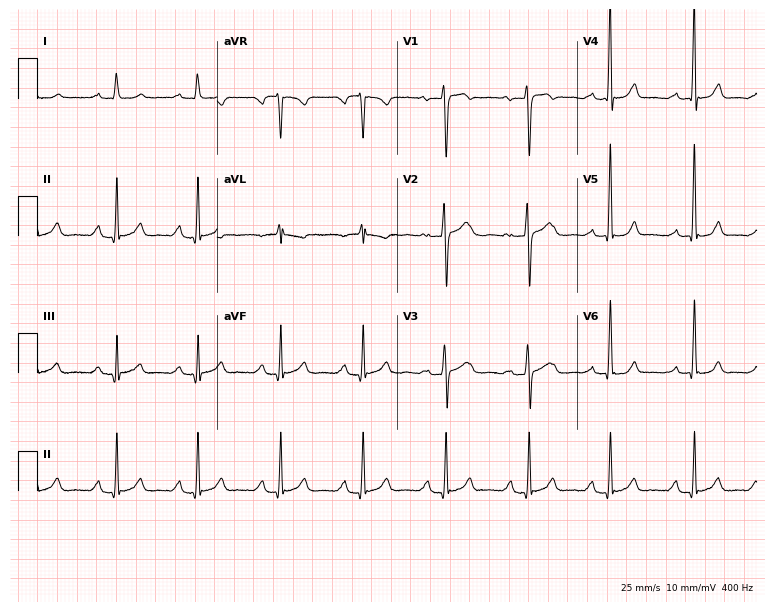
Standard 12-lead ECG recorded from a 34-year-old female (7.3-second recording at 400 Hz). None of these six findings is recorded: first-degree AV block, right bundle branch block (RBBB), left bundle branch block (LBBB), sinus bradycardia, atrial fibrillation (AF), sinus tachycardia.